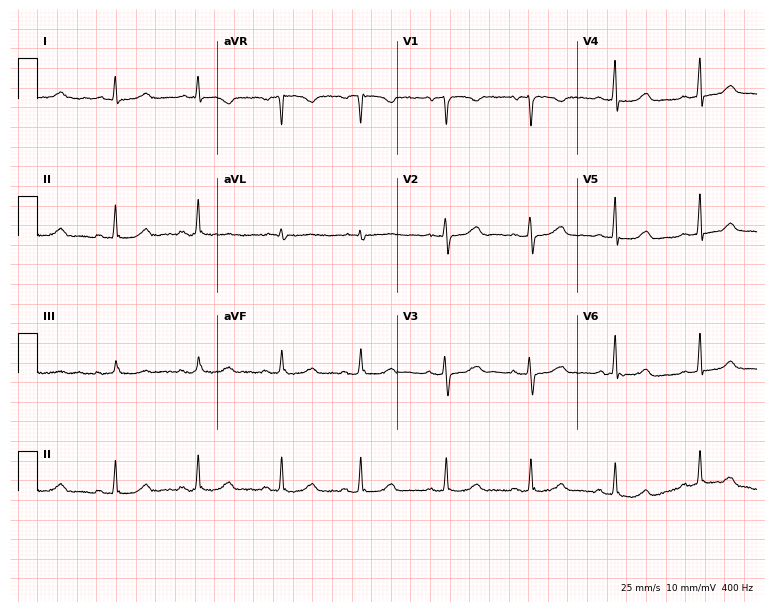
Standard 12-lead ECG recorded from a woman, 50 years old. Read as a normal ECG.